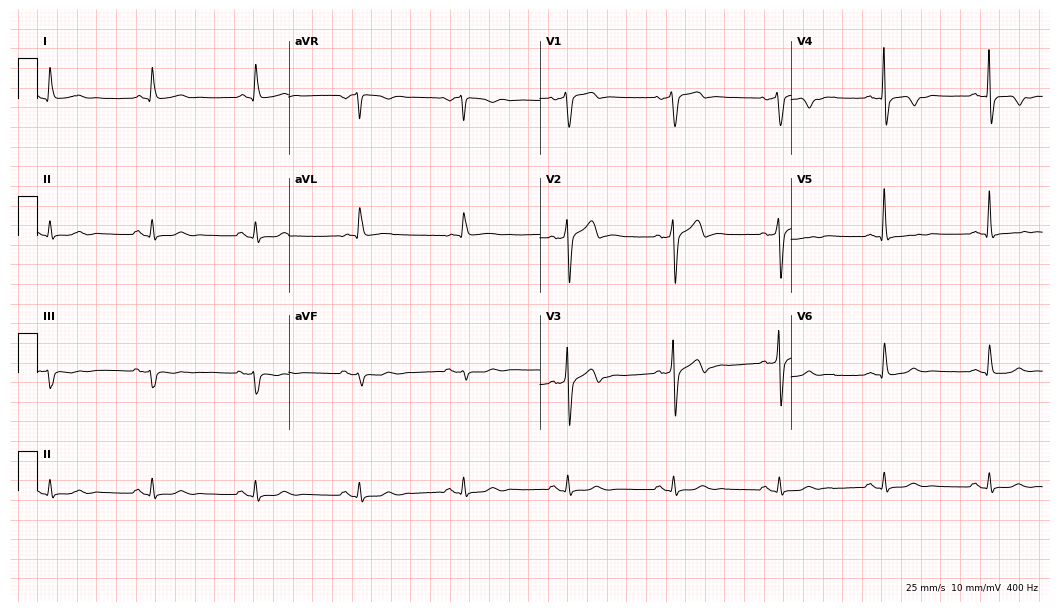
Resting 12-lead electrocardiogram (10.2-second recording at 400 Hz). Patient: a man, 75 years old. None of these six findings is recorded: first-degree AV block, right bundle branch block, left bundle branch block, sinus bradycardia, atrial fibrillation, sinus tachycardia.